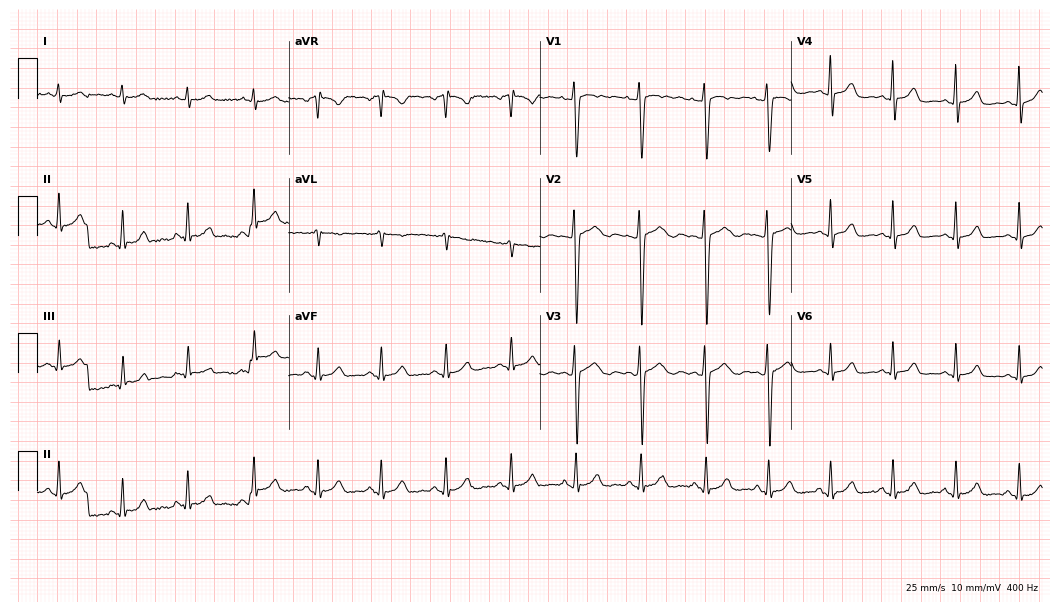
12-lead ECG from a female patient, 32 years old. Recorded interpretation: within normal limits.